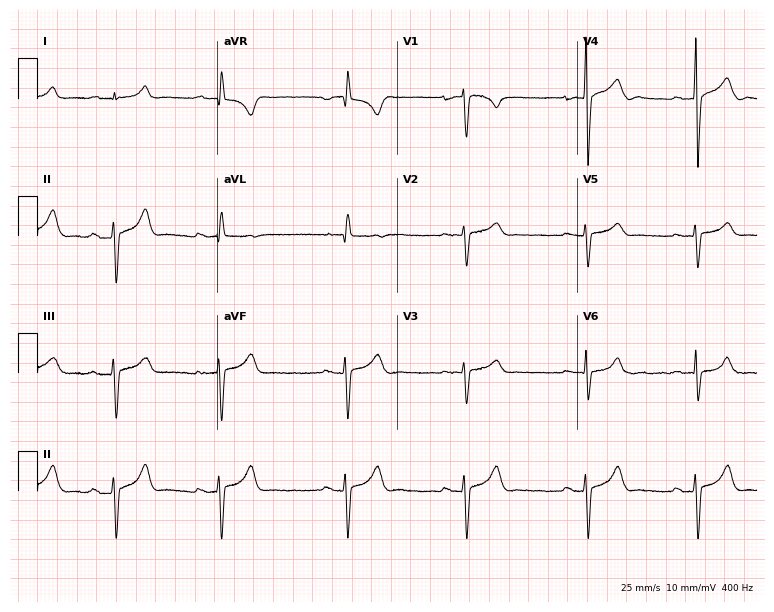
Electrocardiogram, a male, 21 years old. Interpretation includes first-degree AV block.